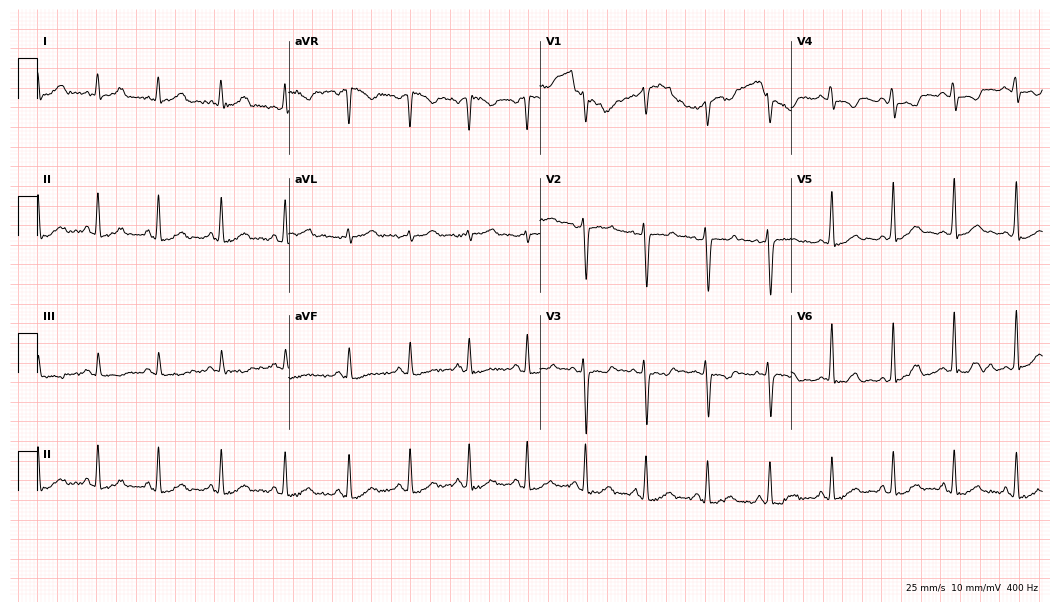
Standard 12-lead ECG recorded from a female patient, 23 years old (10.2-second recording at 400 Hz). None of these six findings is recorded: first-degree AV block, right bundle branch block, left bundle branch block, sinus bradycardia, atrial fibrillation, sinus tachycardia. Other findings, if any, are not listed.